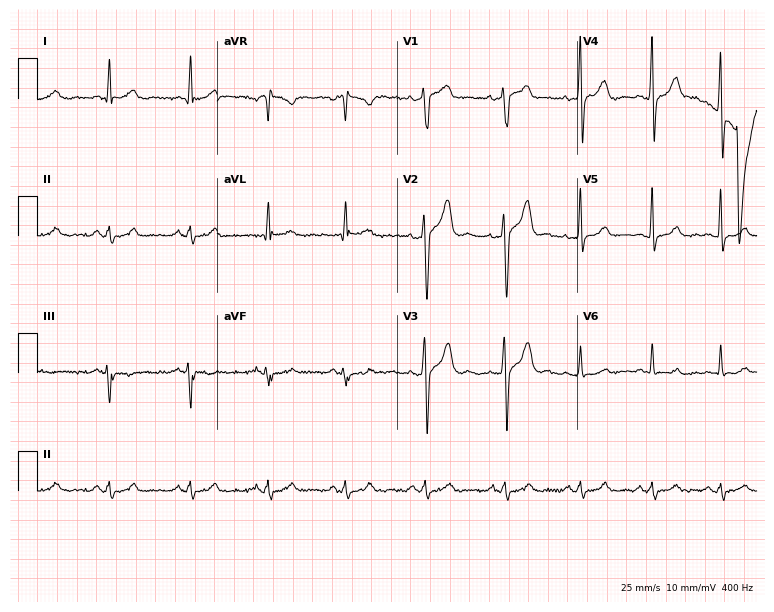
ECG (7.3-second recording at 400 Hz) — a male patient, 52 years old. Labelled as a normal ECG.